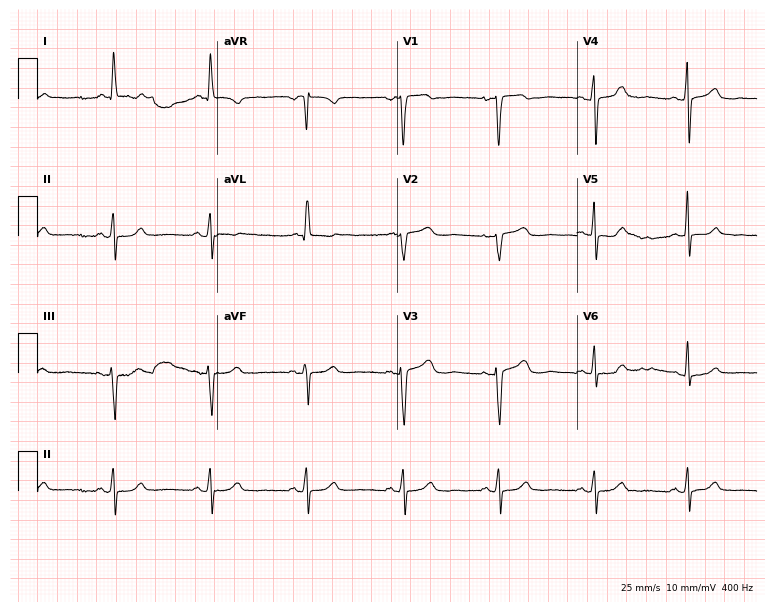
Electrocardiogram (7.3-second recording at 400 Hz), a 74-year-old female patient. Of the six screened findings (first-degree AV block, right bundle branch block, left bundle branch block, sinus bradycardia, atrial fibrillation, sinus tachycardia), none is recorded.